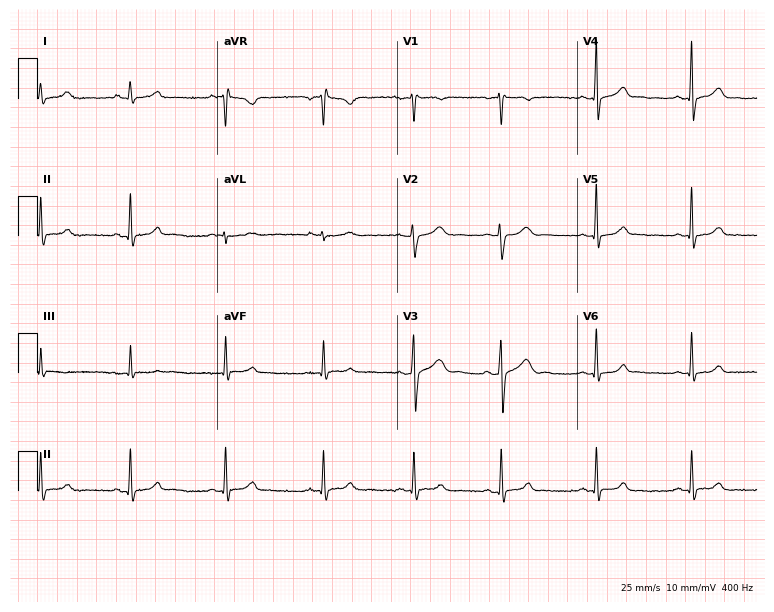
ECG — a 17-year-old female patient. Labelled as a normal ECG.